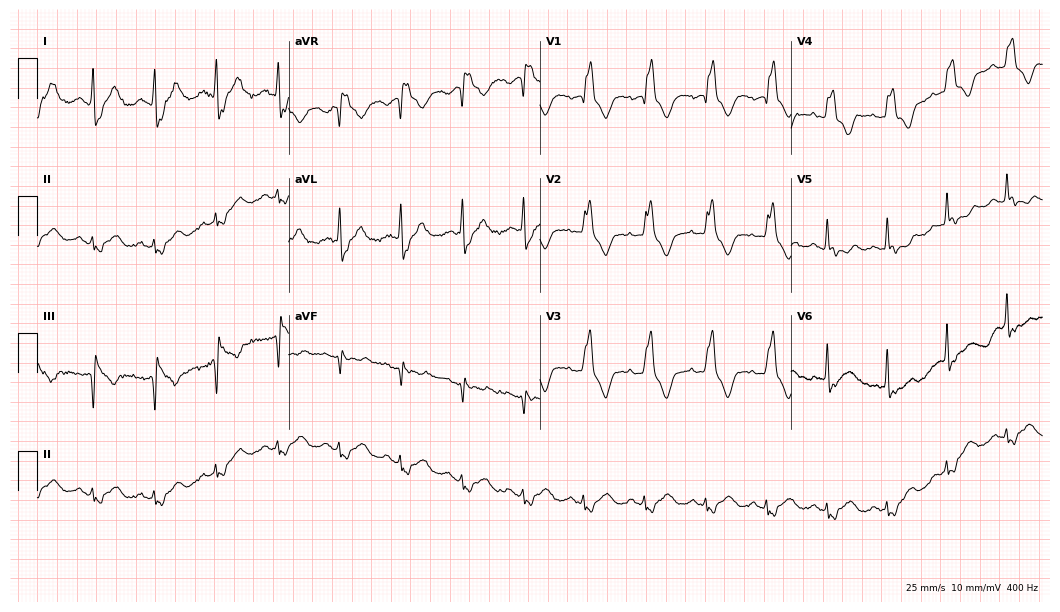
12-lead ECG from a woman, 79 years old. Shows right bundle branch block.